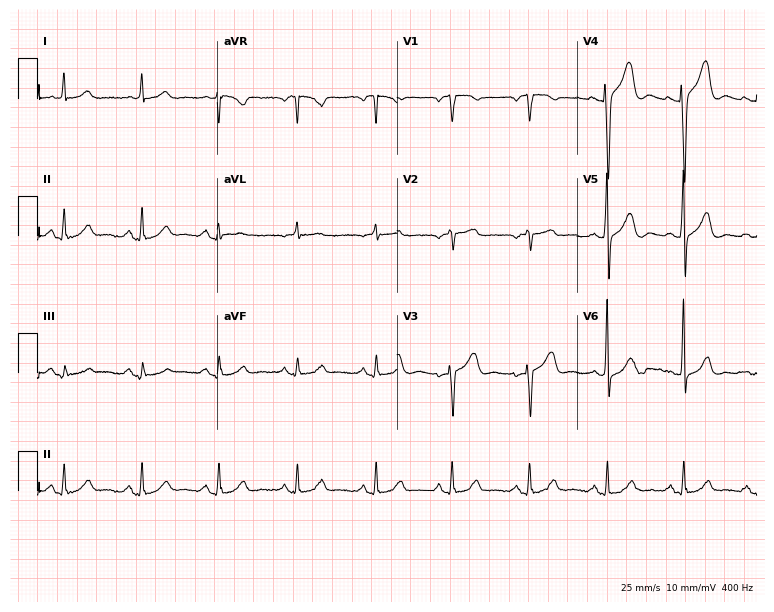
12-lead ECG from an 84-year-old female. Labelled as a normal ECG.